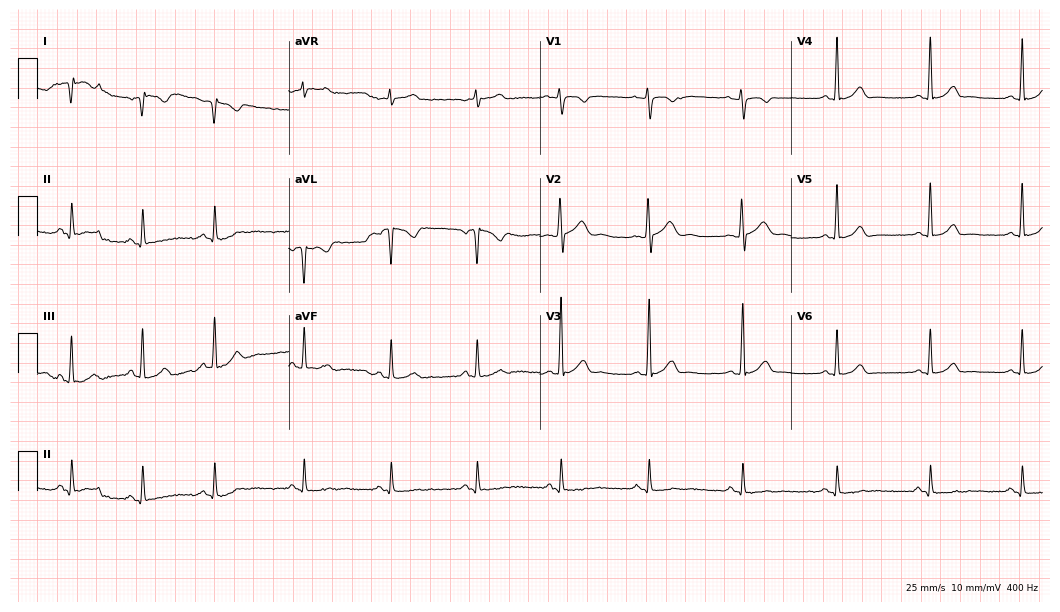
Standard 12-lead ECG recorded from a female, 27 years old (10.2-second recording at 400 Hz). None of these six findings is recorded: first-degree AV block, right bundle branch block, left bundle branch block, sinus bradycardia, atrial fibrillation, sinus tachycardia.